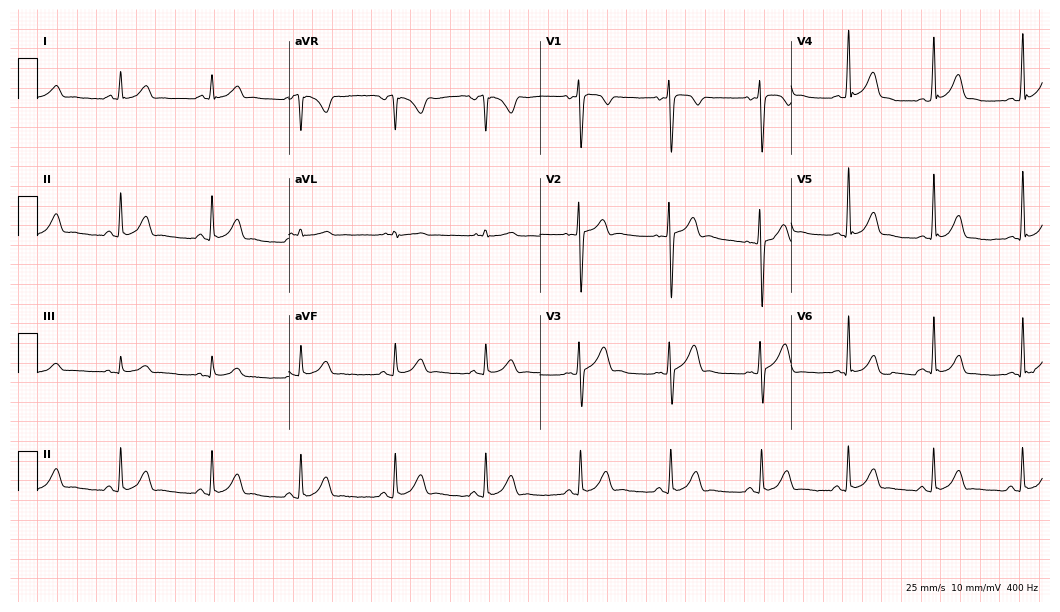
Electrocardiogram (10.2-second recording at 400 Hz), an 18-year-old male patient. Overall reading on record: normal ECG.